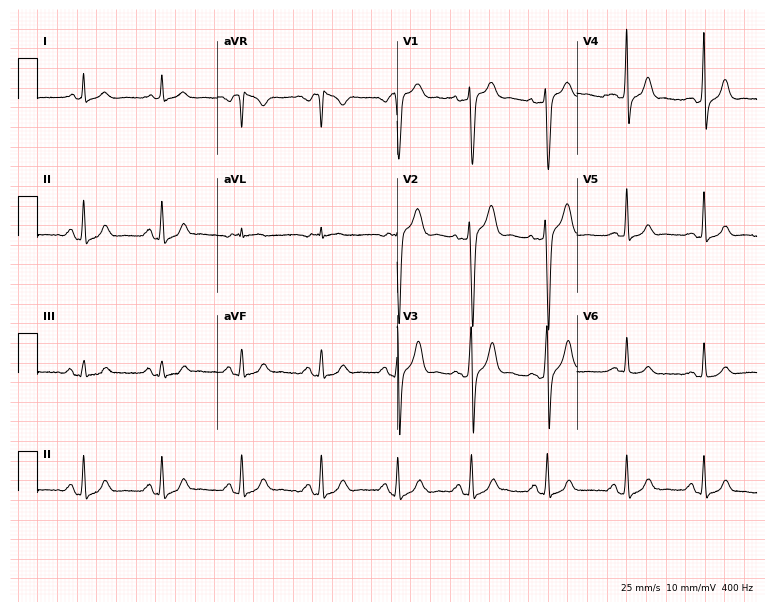
ECG — a 31-year-old male patient. Screened for six findings — first-degree AV block, right bundle branch block, left bundle branch block, sinus bradycardia, atrial fibrillation, sinus tachycardia — none is recorded. Other findings, if any, are not listed.